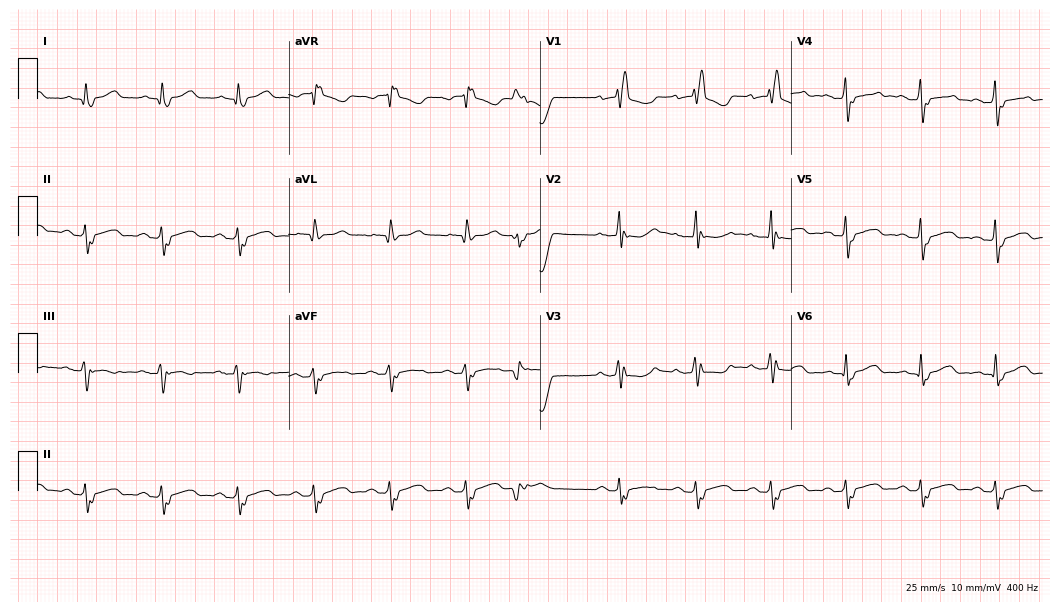
ECG — an 84-year-old man. Findings include right bundle branch block (RBBB).